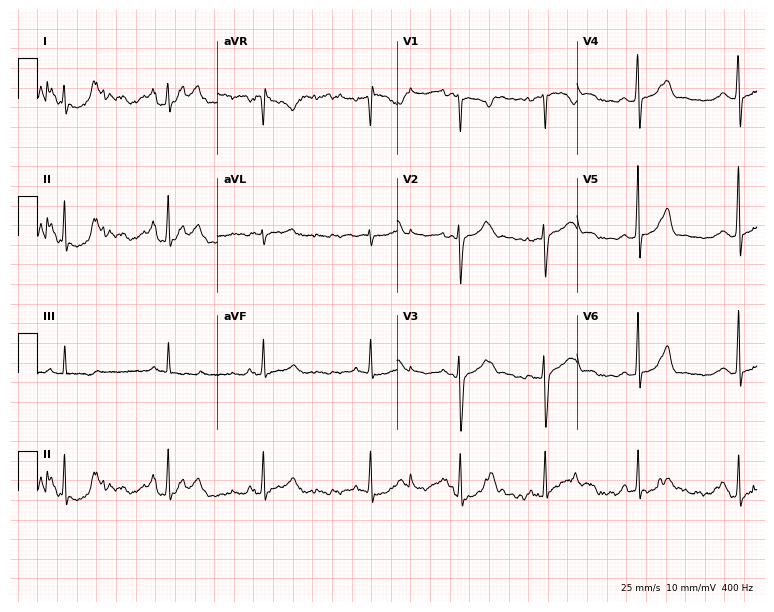
Resting 12-lead electrocardiogram (7.3-second recording at 400 Hz). Patient: an 18-year-old female. None of these six findings is recorded: first-degree AV block, right bundle branch block, left bundle branch block, sinus bradycardia, atrial fibrillation, sinus tachycardia. Other findings, if any, are not listed.